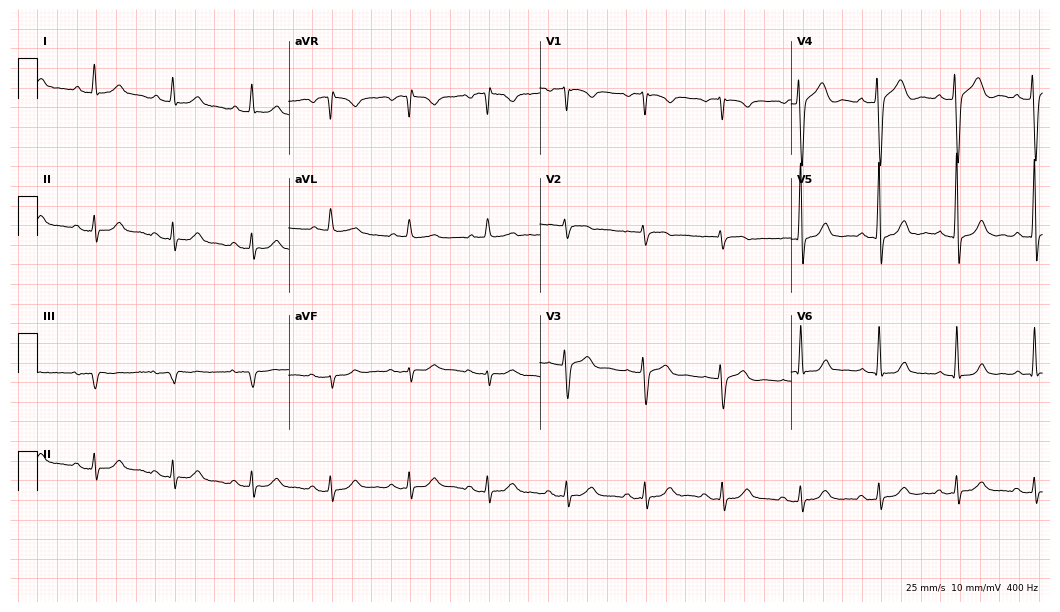
Resting 12-lead electrocardiogram (10.2-second recording at 400 Hz). Patient: a 65-year-old man. None of these six findings is recorded: first-degree AV block, right bundle branch block, left bundle branch block, sinus bradycardia, atrial fibrillation, sinus tachycardia.